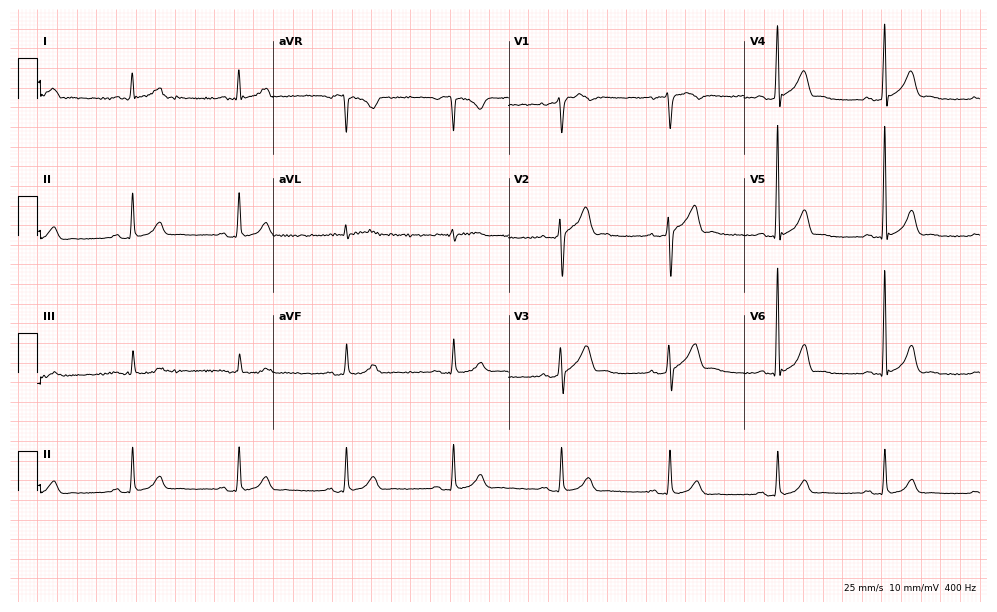
Electrocardiogram (9.6-second recording at 400 Hz), a 52-year-old male. Overall reading on record: normal ECG.